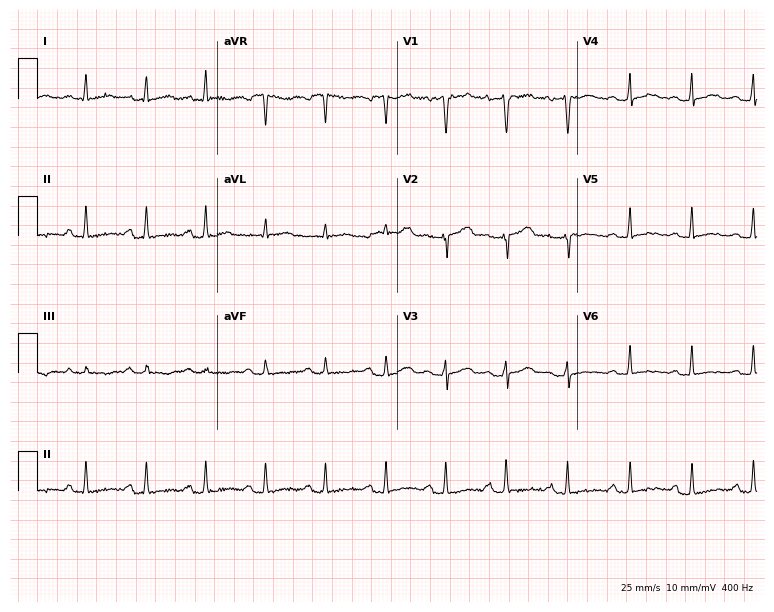
Standard 12-lead ECG recorded from a woman, 29 years old. Read as a normal ECG.